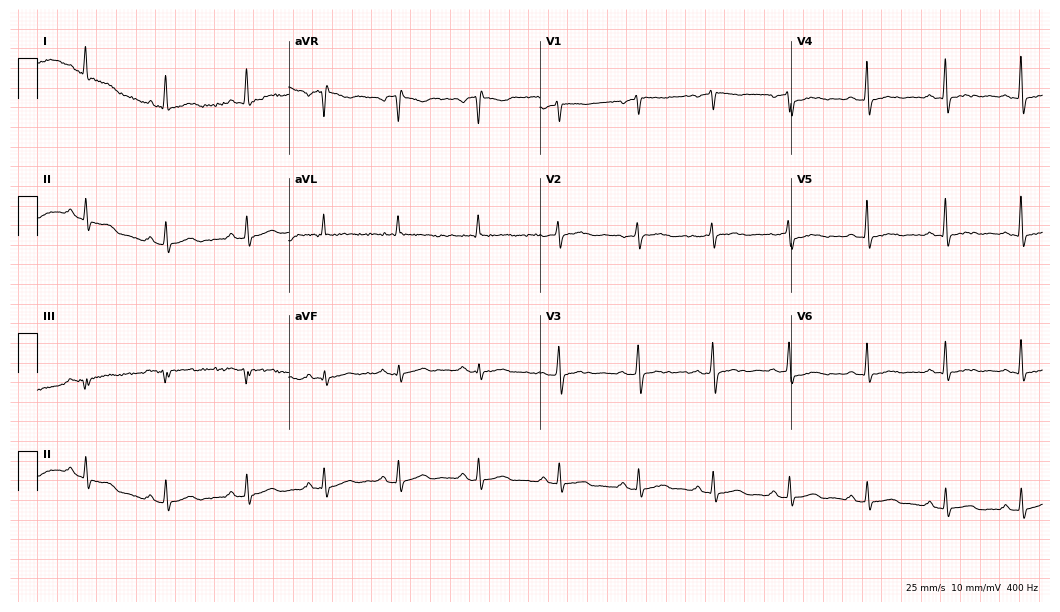
12-lead ECG from a female, 56 years old (10.2-second recording at 400 Hz). No first-degree AV block, right bundle branch block (RBBB), left bundle branch block (LBBB), sinus bradycardia, atrial fibrillation (AF) or sinus tachycardia recorded for this tracing.